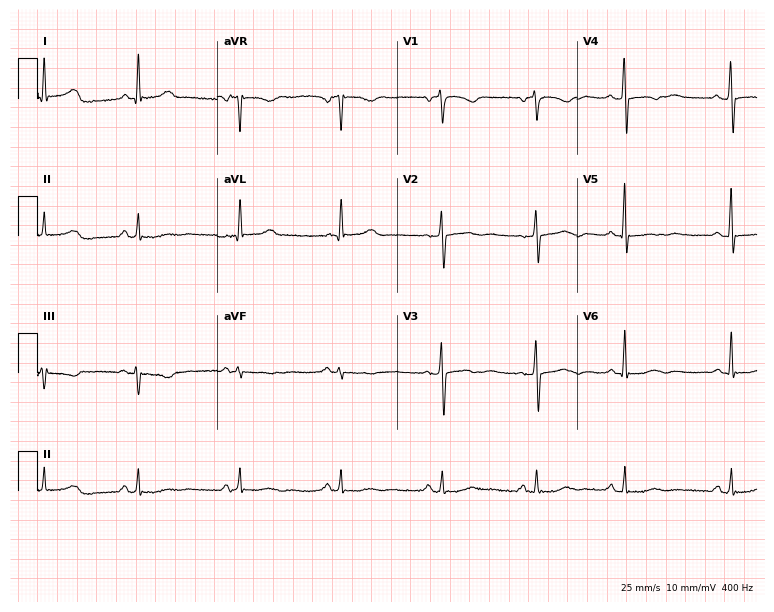
12-lead ECG from a 62-year-old female (7.3-second recording at 400 Hz). No first-degree AV block, right bundle branch block, left bundle branch block, sinus bradycardia, atrial fibrillation or sinus tachycardia recorded for this tracing. Findings outside these six are not listed.